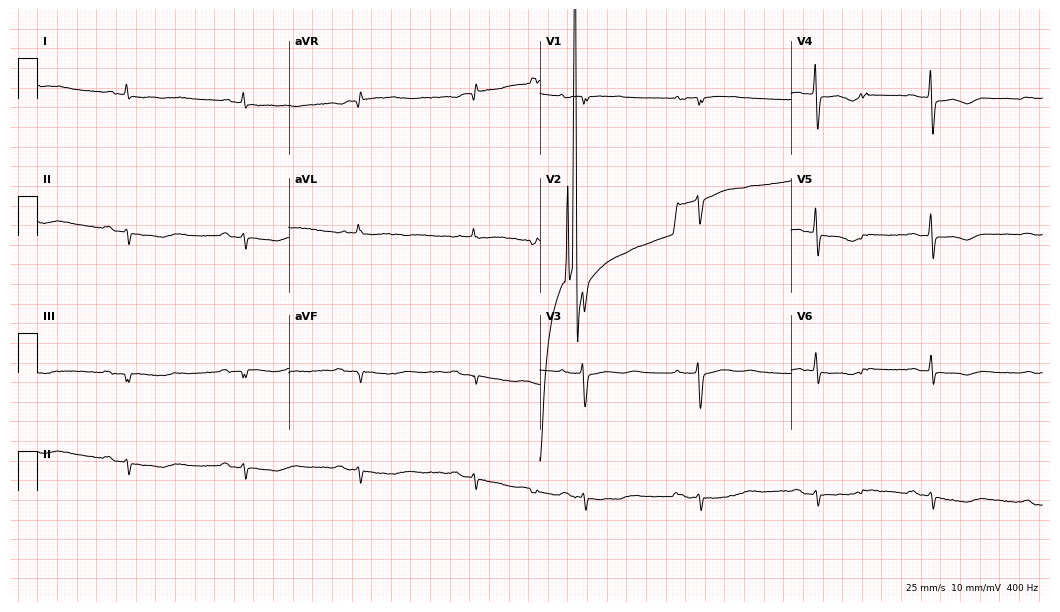
Resting 12-lead electrocardiogram. Patient: a female, 70 years old. The tracing shows first-degree AV block.